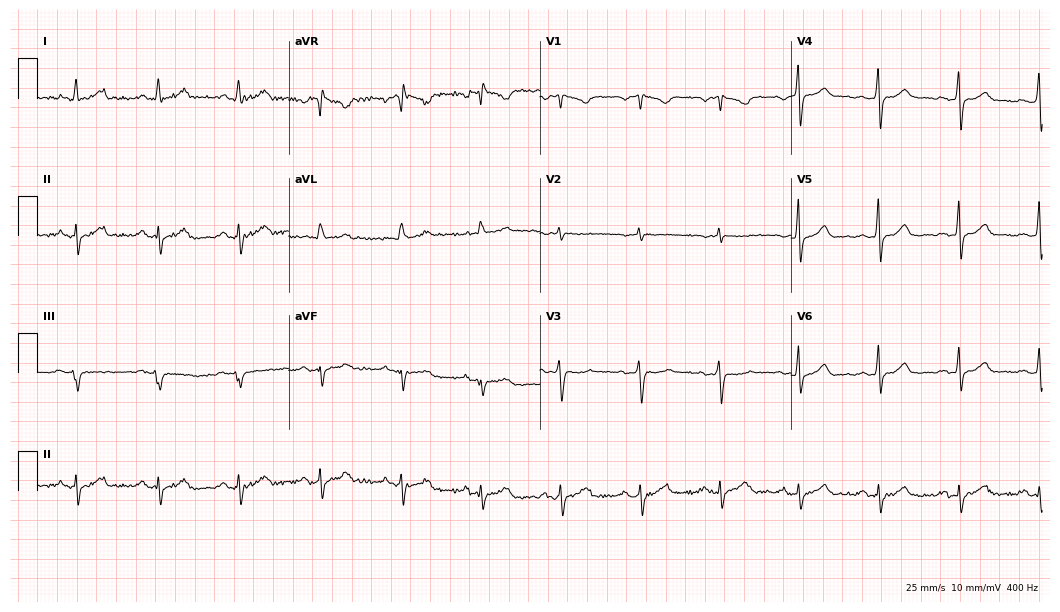
12-lead ECG (10.2-second recording at 400 Hz) from a 54-year-old female. Screened for six findings — first-degree AV block, right bundle branch block, left bundle branch block, sinus bradycardia, atrial fibrillation, sinus tachycardia — none is recorded.